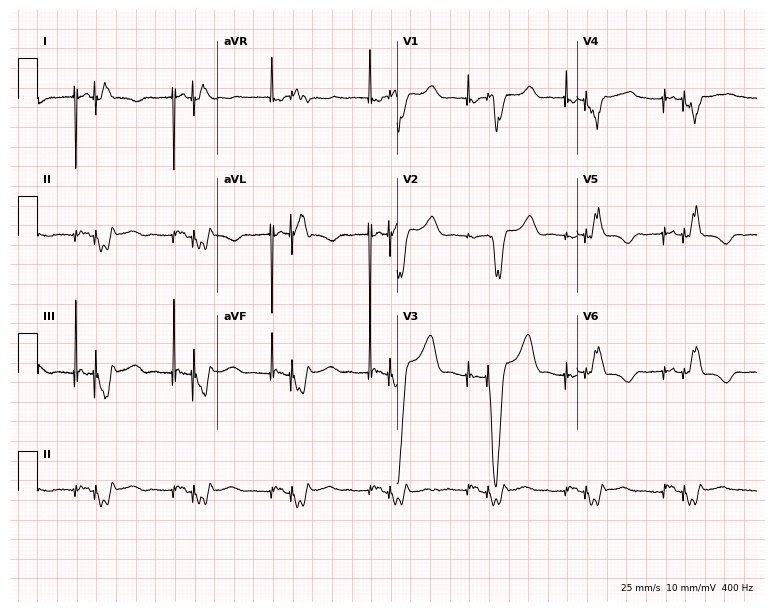
Resting 12-lead electrocardiogram (7.3-second recording at 400 Hz). Patient: a male, 67 years old. None of these six findings is recorded: first-degree AV block, right bundle branch block (RBBB), left bundle branch block (LBBB), sinus bradycardia, atrial fibrillation (AF), sinus tachycardia.